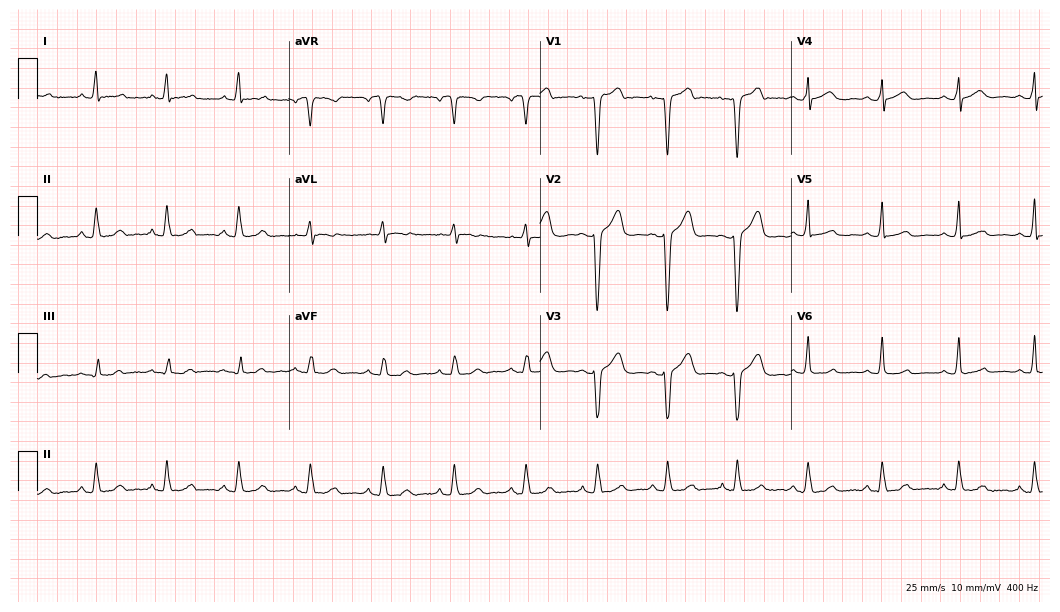
12-lead ECG from a 37-year-old female patient. No first-degree AV block, right bundle branch block, left bundle branch block, sinus bradycardia, atrial fibrillation or sinus tachycardia recorded for this tracing. Other findings, if any, are not listed.